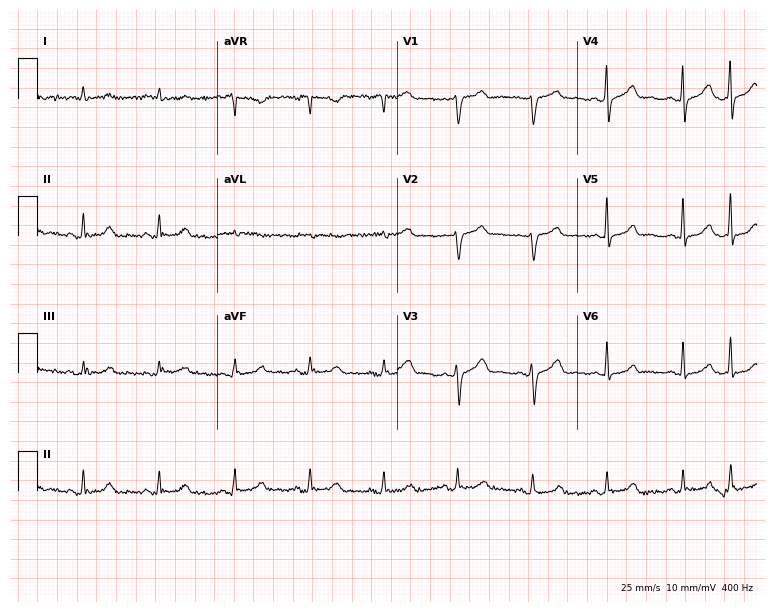
Electrocardiogram, a 79-year-old man. Overall reading on record: normal ECG.